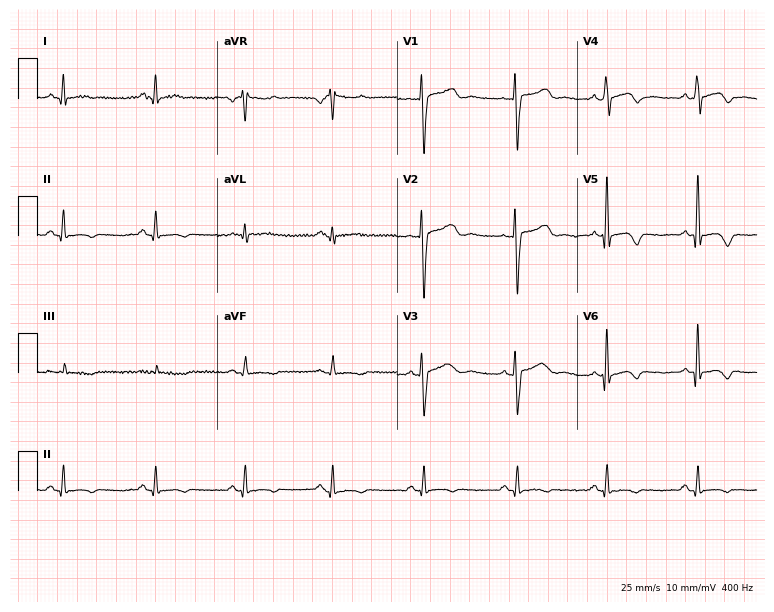
12-lead ECG from a male, 45 years old. No first-degree AV block, right bundle branch block, left bundle branch block, sinus bradycardia, atrial fibrillation or sinus tachycardia recorded for this tracing. Findings outside these six are not listed.